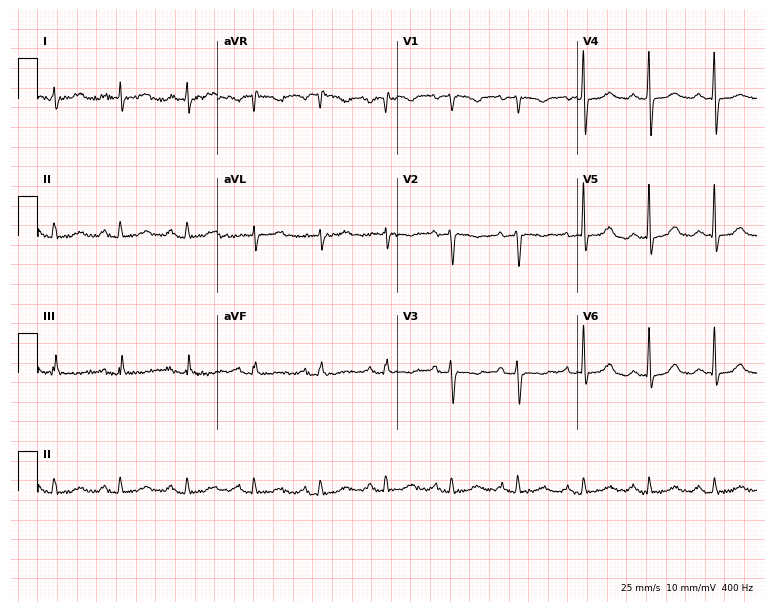
12-lead ECG from a female patient, 74 years old. No first-degree AV block, right bundle branch block (RBBB), left bundle branch block (LBBB), sinus bradycardia, atrial fibrillation (AF) or sinus tachycardia recorded for this tracing.